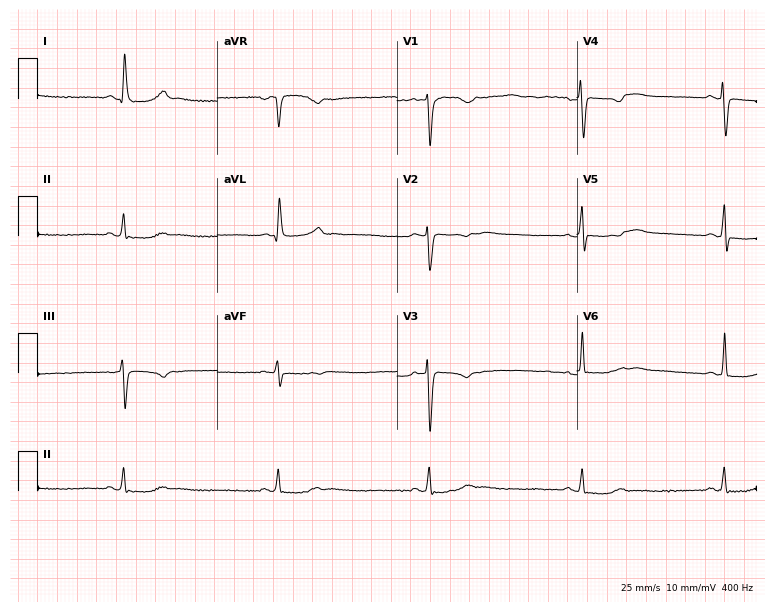
ECG (7.3-second recording at 400 Hz) — a female patient, 61 years old. Findings include sinus bradycardia (a sinus rate of 50 beats per minute or less).